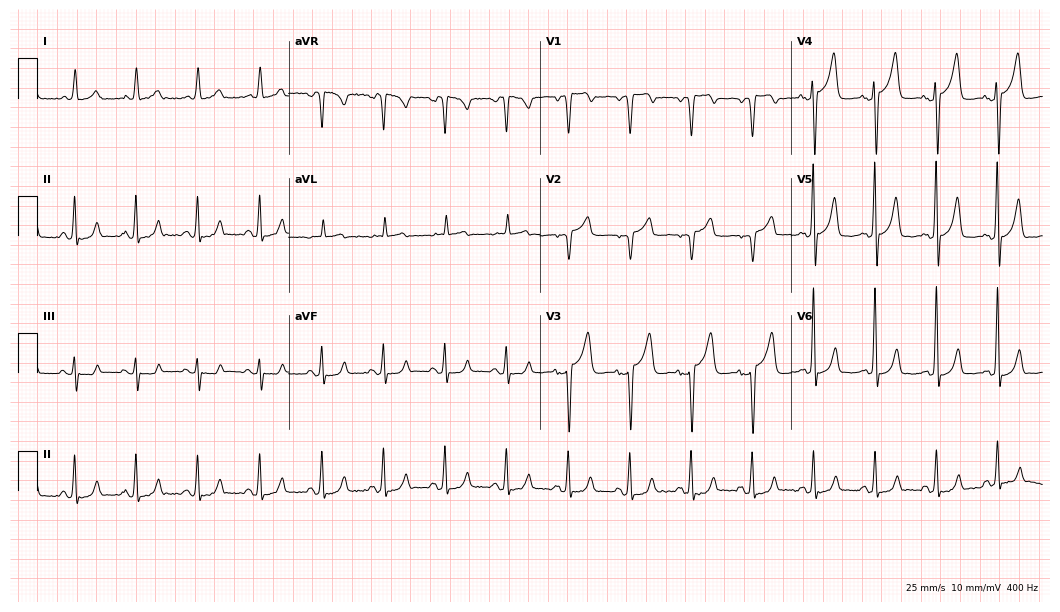
12-lead ECG from a woman, 70 years old. Screened for six findings — first-degree AV block, right bundle branch block, left bundle branch block, sinus bradycardia, atrial fibrillation, sinus tachycardia — none is recorded. Other findings, if any, are not listed.